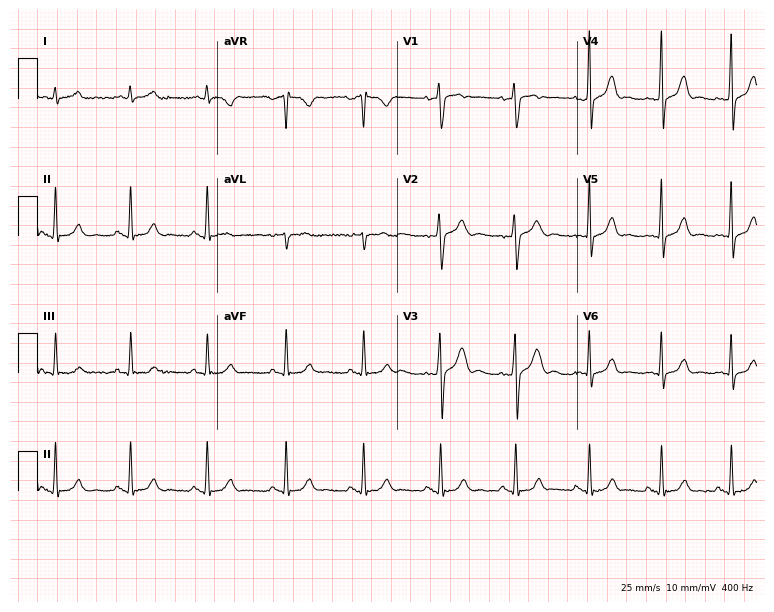
ECG — a 29-year-old man. Labelled as a normal ECG.